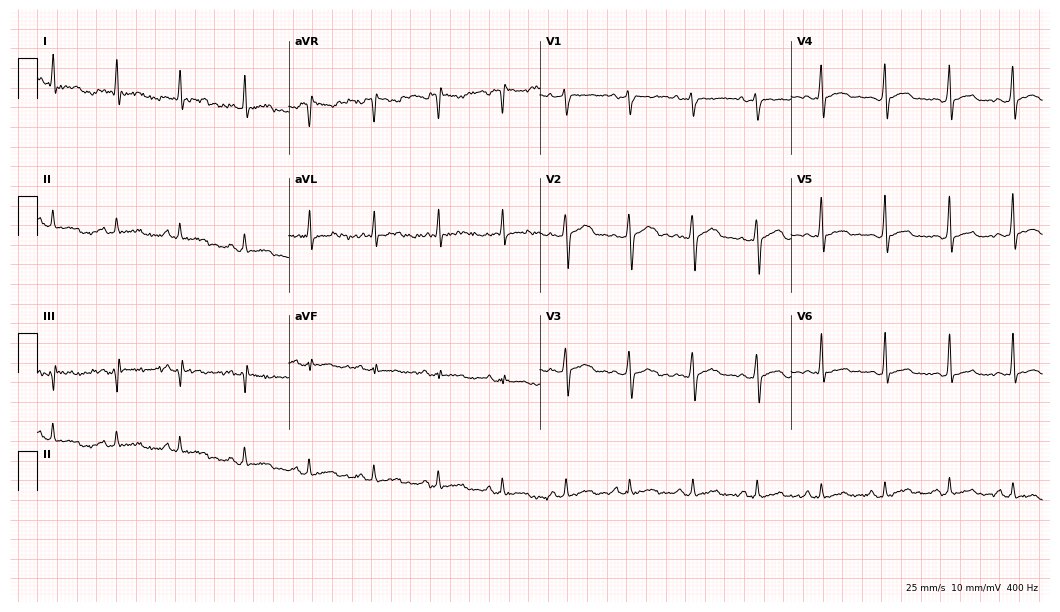
ECG — a 30-year-old male. Labelled as a normal ECG.